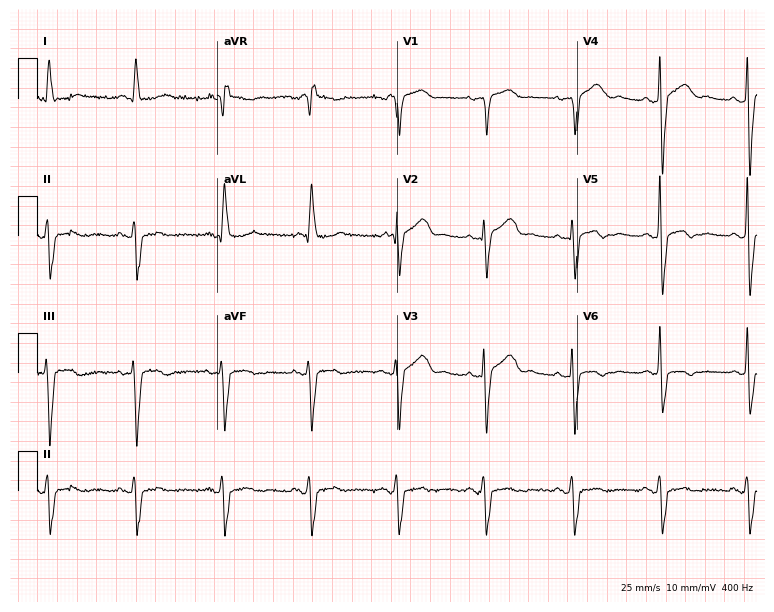
12-lead ECG from an 81-year-old female patient. No first-degree AV block, right bundle branch block, left bundle branch block, sinus bradycardia, atrial fibrillation or sinus tachycardia recorded for this tracing. Findings outside these six are not listed.